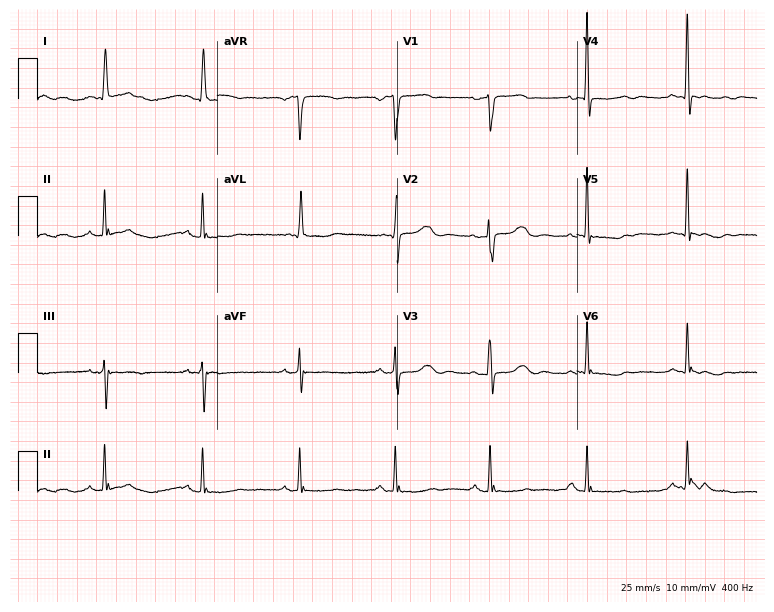
Standard 12-lead ECG recorded from a female, 78 years old. None of these six findings is recorded: first-degree AV block, right bundle branch block, left bundle branch block, sinus bradycardia, atrial fibrillation, sinus tachycardia. Only these six findings were labelled.